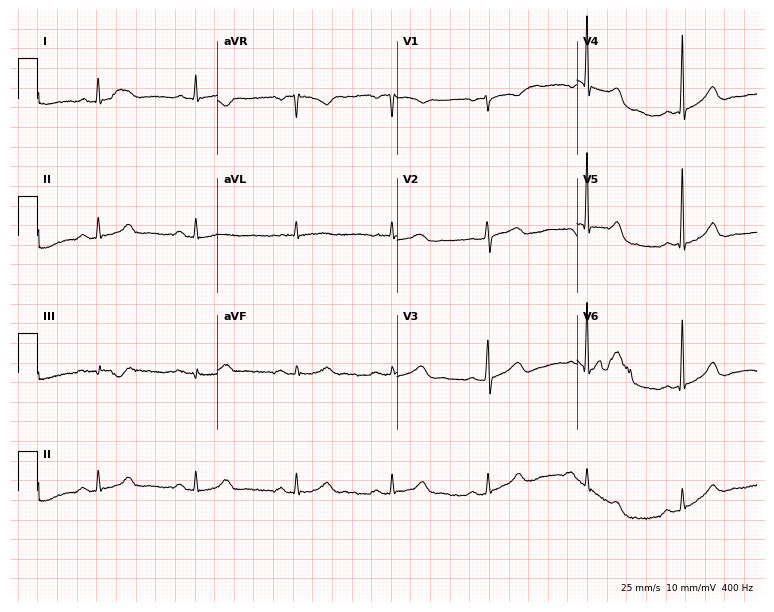
12-lead ECG from a female, 63 years old (7.3-second recording at 400 Hz). Recorded interpretation: within normal limits.